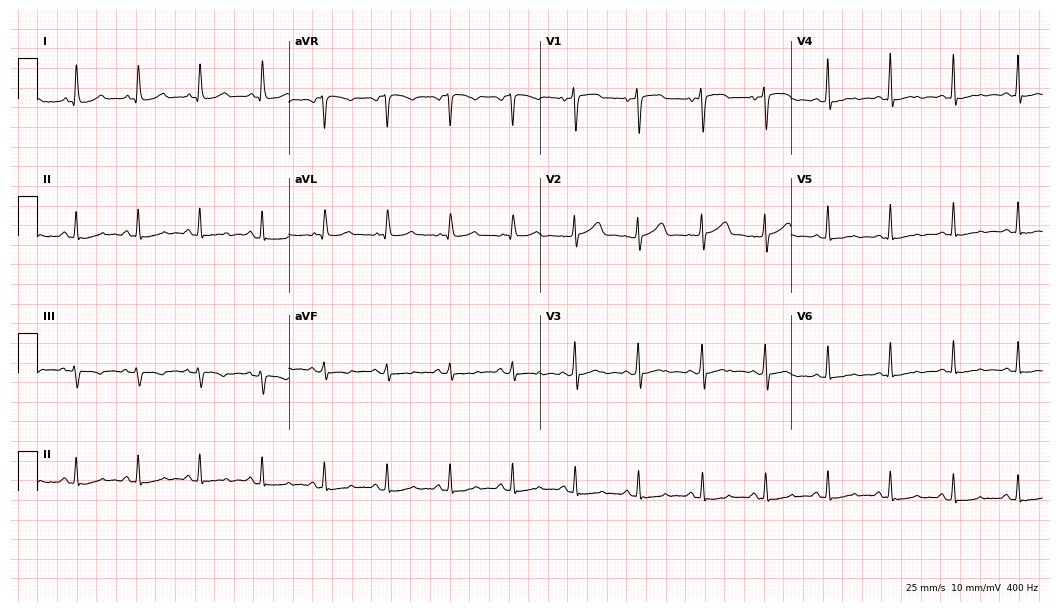
12-lead ECG (10.2-second recording at 400 Hz) from a 63-year-old woman. Labelled as a normal ECG.